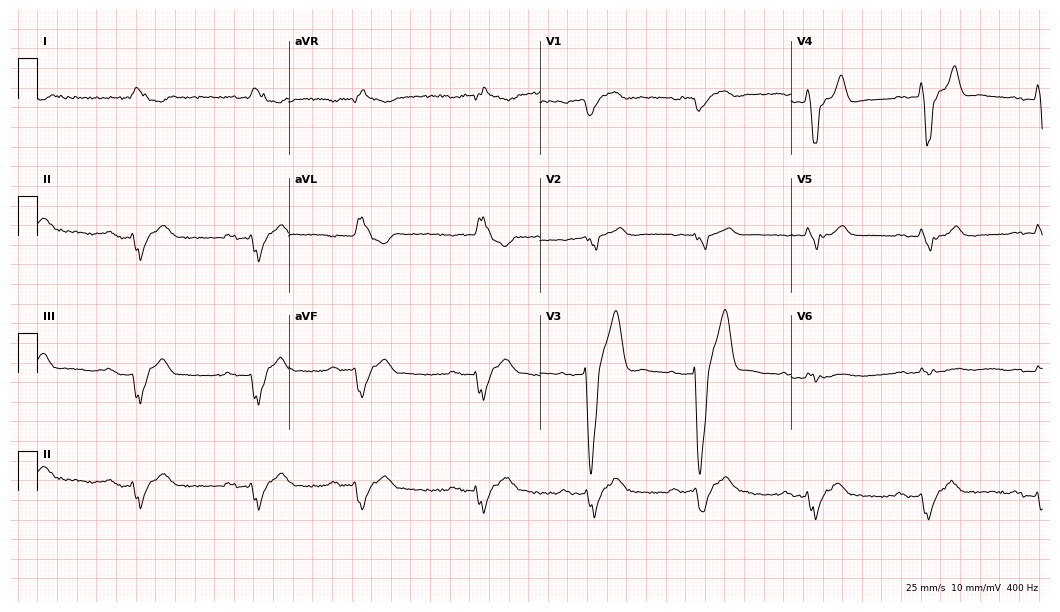
Standard 12-lead ECG recorded from a 75-year-old male patient (10.2-second recording at 400 Hz). The tracing shows first-degree AV block.